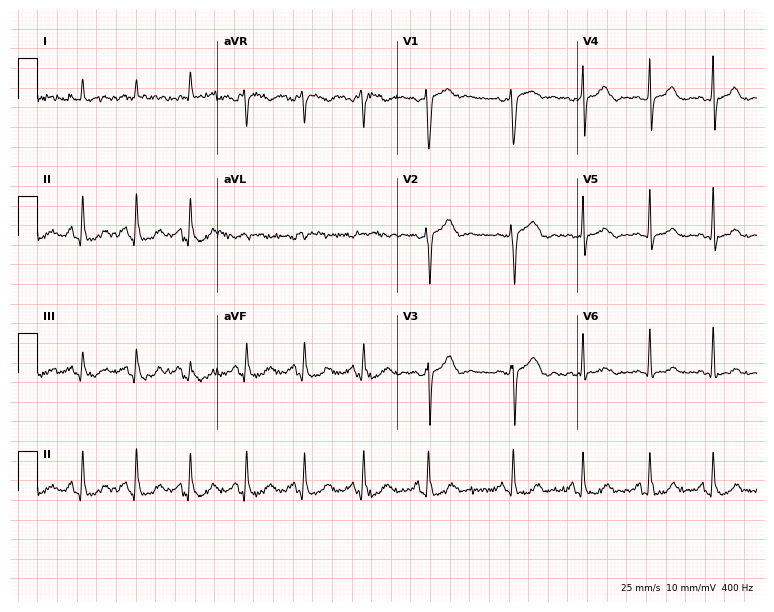
12-lead ECG from a 53-year-old male patient (7.3-second recording at 400 Hz). No first-degree AV block, right bundle branch block, left bundle branch block, sinus bradycardia, atrial fibrillation or sinus tachycardia recorded for this tracing. Only these six findings were labelled.